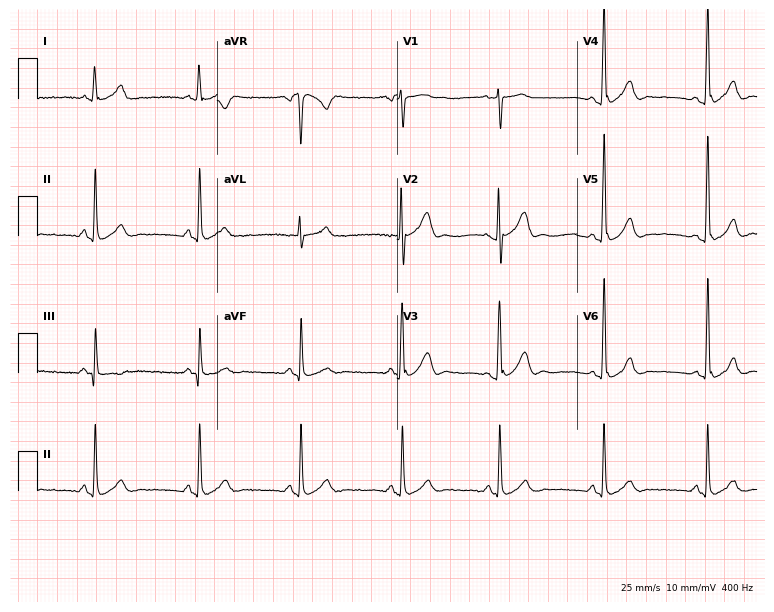
Standard 12-lead ECG recorded from a male patient, 28 years old. Read as a normal ECG.